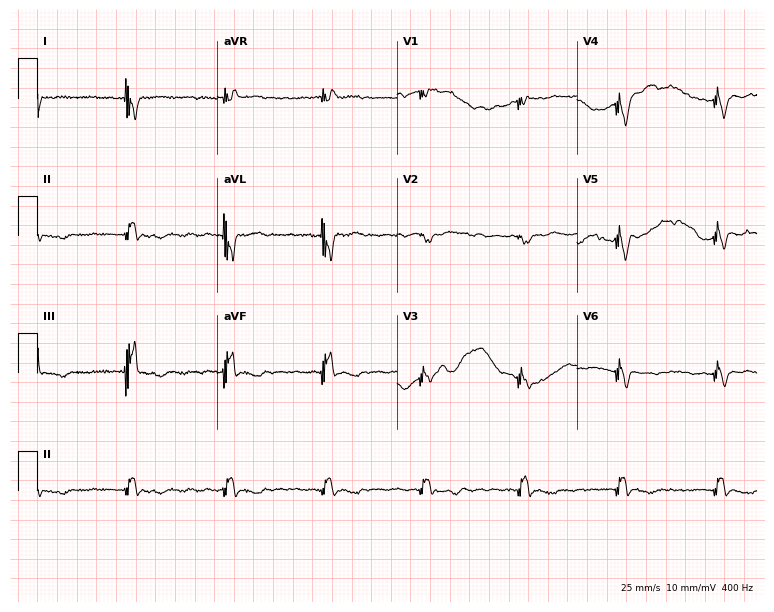
12-lead ECG (7.3-second recording at 400 Hz) from a woman, 64 years old. Screened for six findings — first-degree AV block, right bundle branch block, left bundle branch block, sinus bradycardia, atrial fibrillation, sinus tachycardia — none is recorded. Only these six findings were labelled.